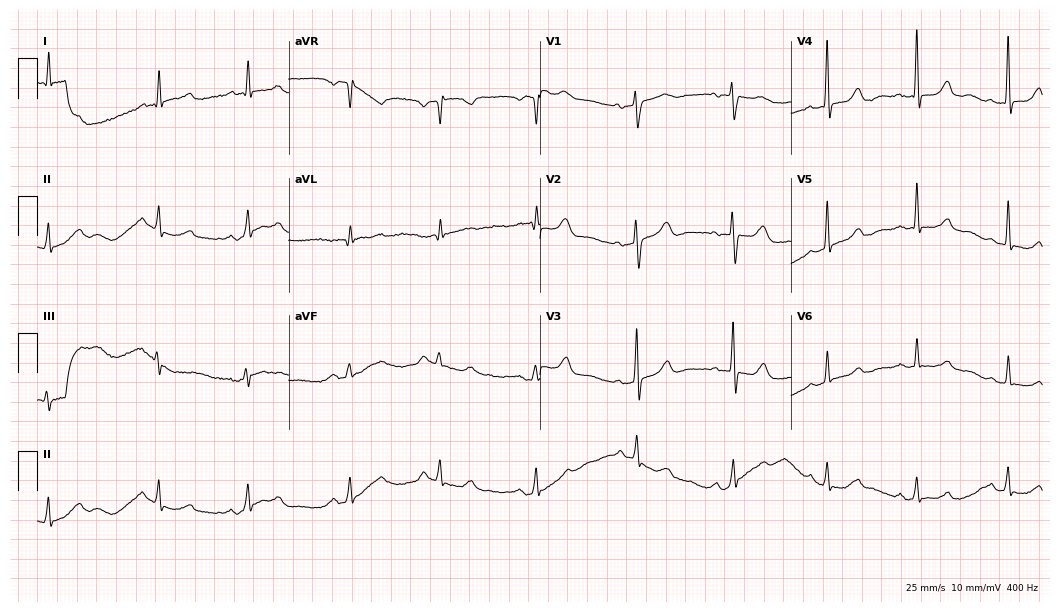
ECG (10.2-second recording at 400 Hz) — a 66-year-old female patient. Screened for six findings — first-degree AV block, right bundle branch block (RBBB), left bundle branch block (LBBB), sinus bradycardia, atrial fibrillation (AF), sinus tachycardia — none is recorded.